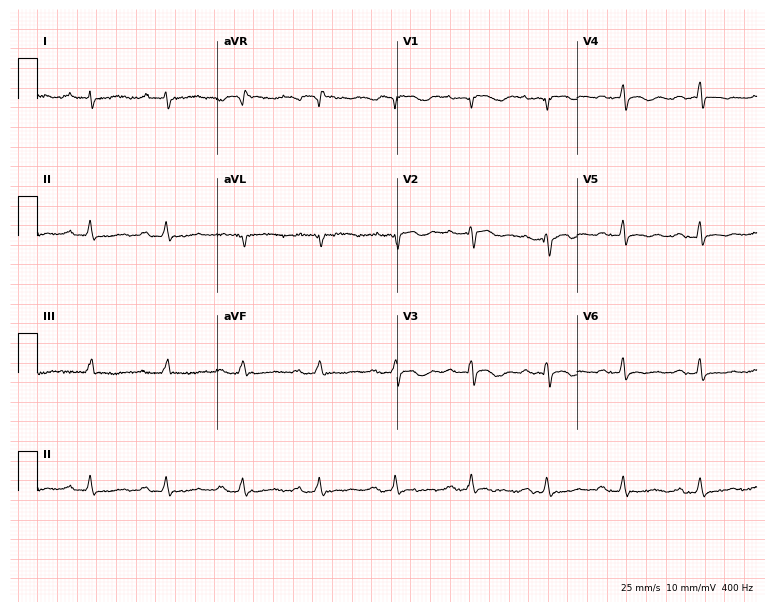
Electrocardiogram (7.3-second recording at 400 Hz), a man, 53 years old. Interpretation includes first-degree AV block.